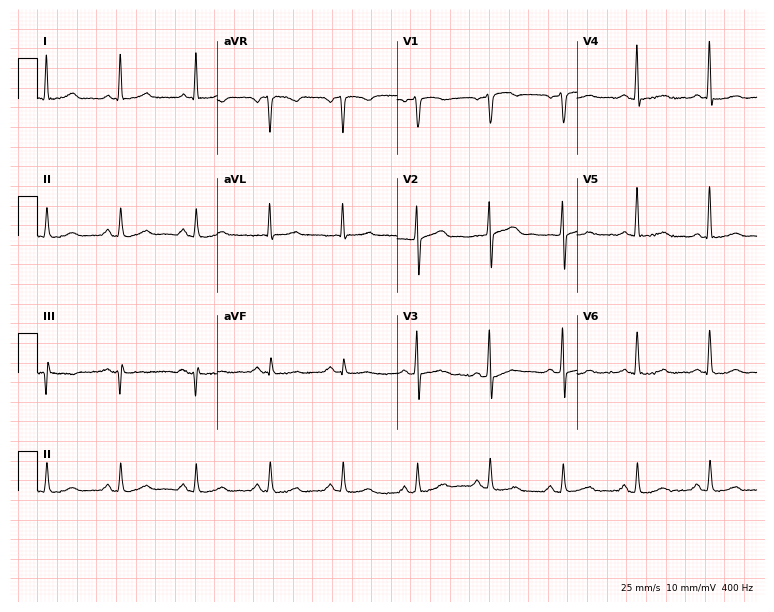
12-lead ECG from a man, 74 years old. Labelled as a normal ECG.